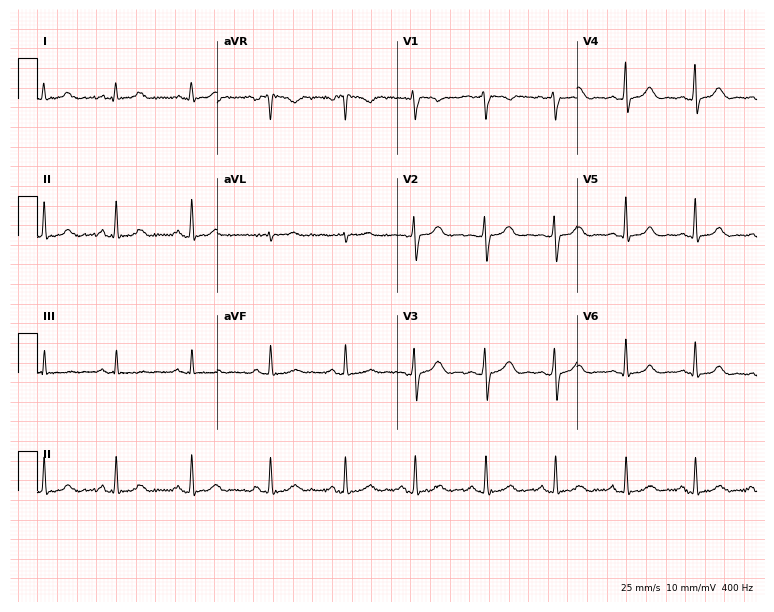
Electrocardiogram, a 23-year-old female patient. Overall reading on record: normal ECG.